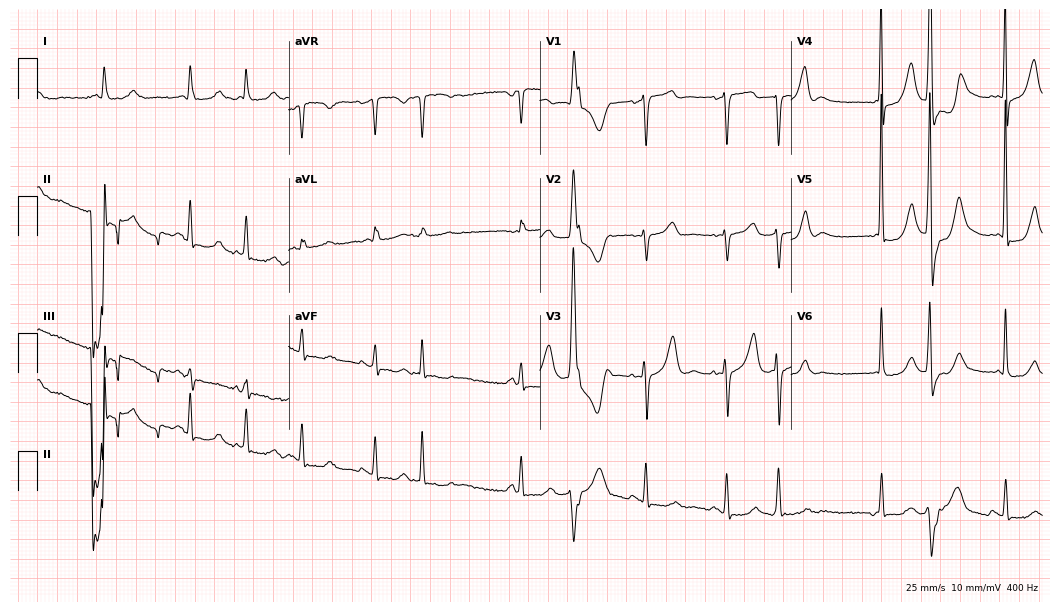
Resting 12-lead electrocardiogram (10.2-second recording at 400 Hz). Patient: a 78-year-old male. None of these six findings is recorded: first-degree AV block, right bundle branch block, left bundle branch block, sinus bradycardia, atrial fibrillation, sinus tachycardia.